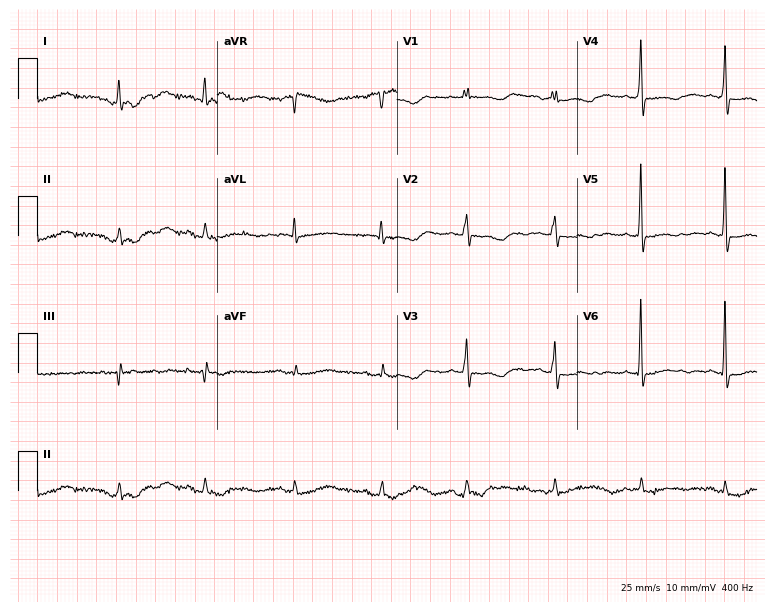
12-lead ECG (7.3-second recording at 400 Hz) from a female, 77 years old. Screened for six findings — first-degree AV block, right bundle branch block, left bundle branch block, sinus bradycardia, atrial fibrillation, sinus tachycardia — none is recorded.